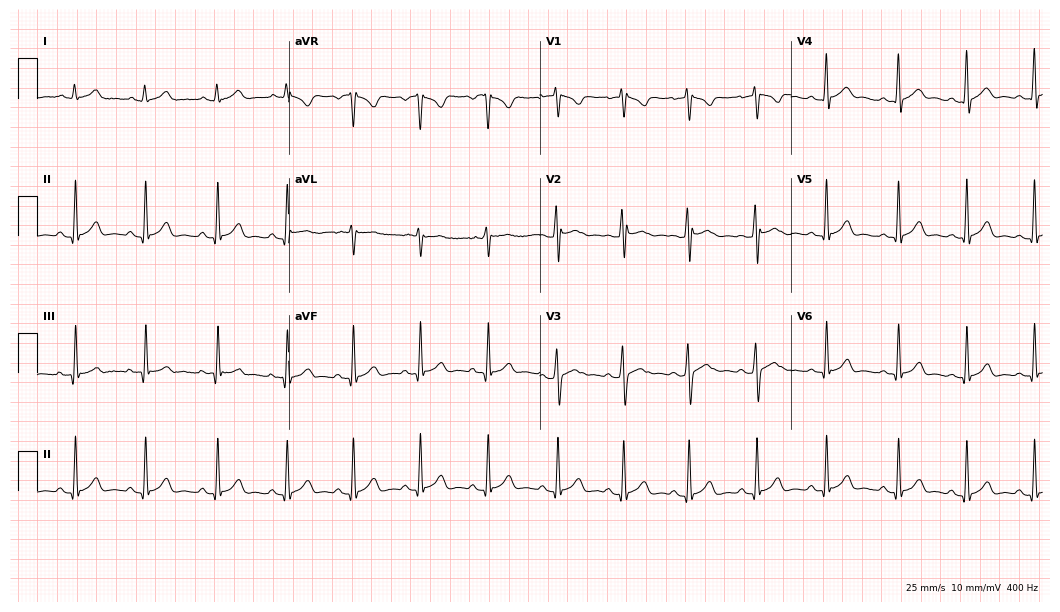
12-lead ECG from a 19-year-old woman. Recorded interpretation: within normal limits.